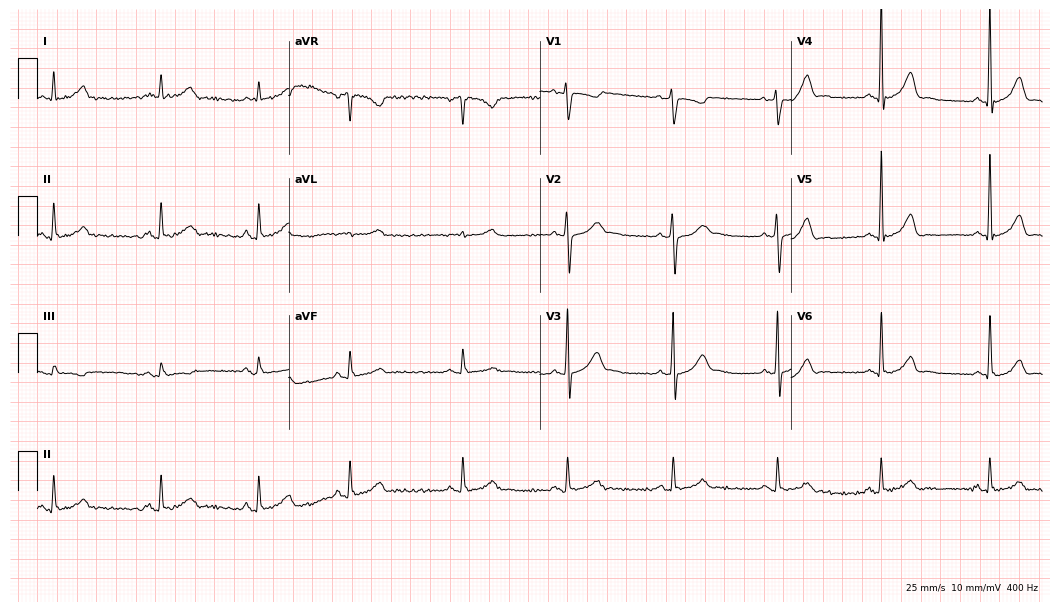
ECG — a man, 51 years old. Labelled as a normal ECG.